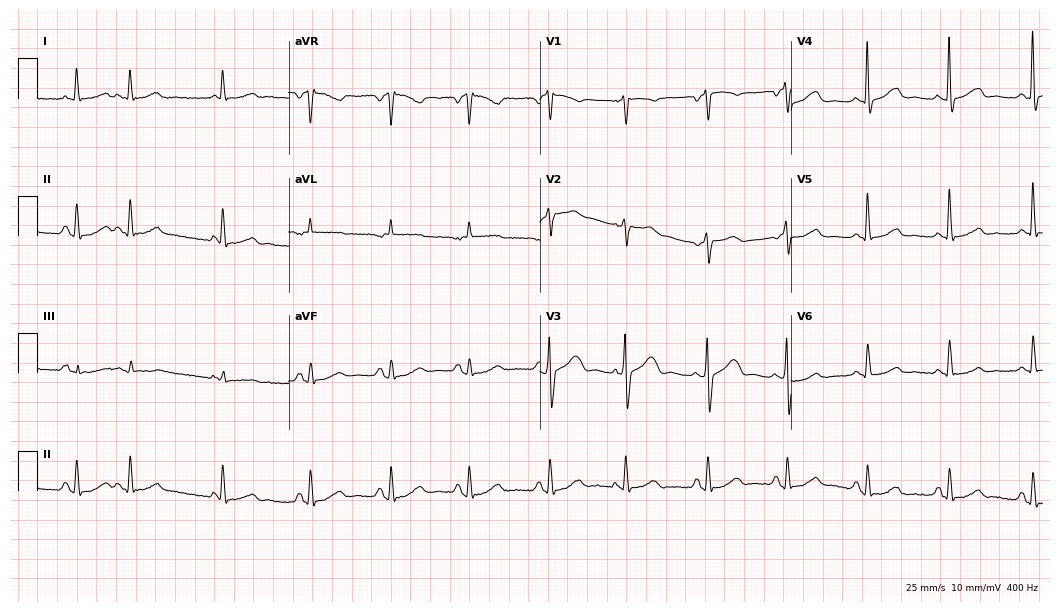
12-lead ECG from a 55-year-old woman. Screened for six findings — first-degree AV block, right bundle branch block, left bundle branch block, sinus bradycardia, atrial fibrillation, sinus tachycardia — none is recorded.